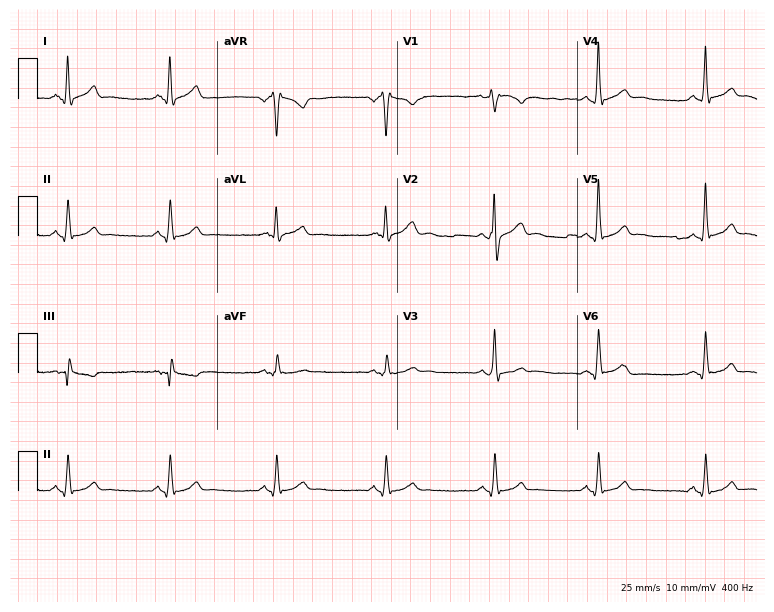
12-lead ECG from a 32-year-old male. Recorded interpretation: within normal limits.